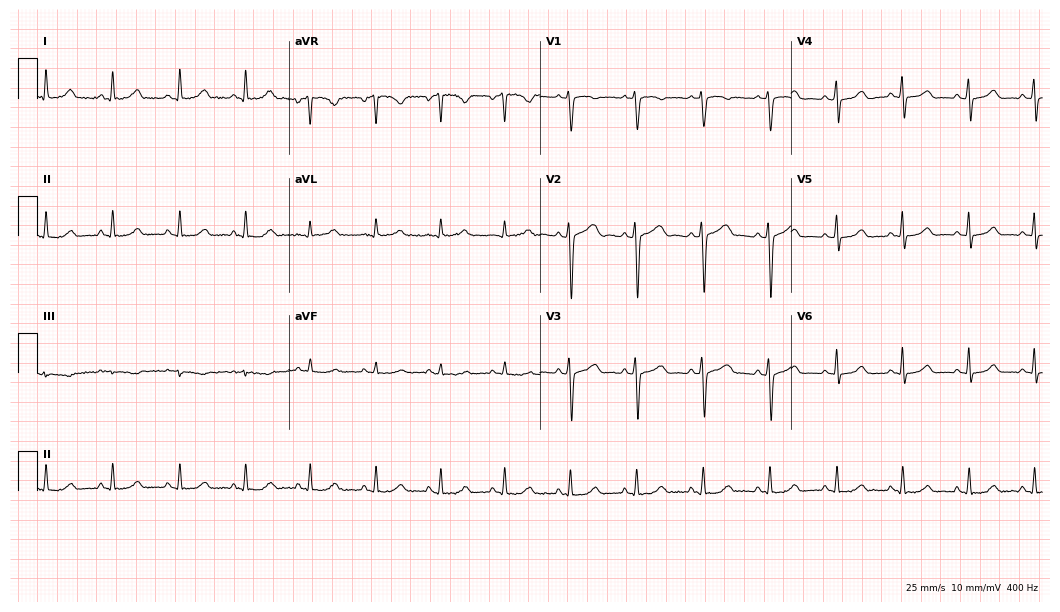
Resting 12-lead electrocardiogram. Patient: a 35-year-old woman. Read as a normal ECG.